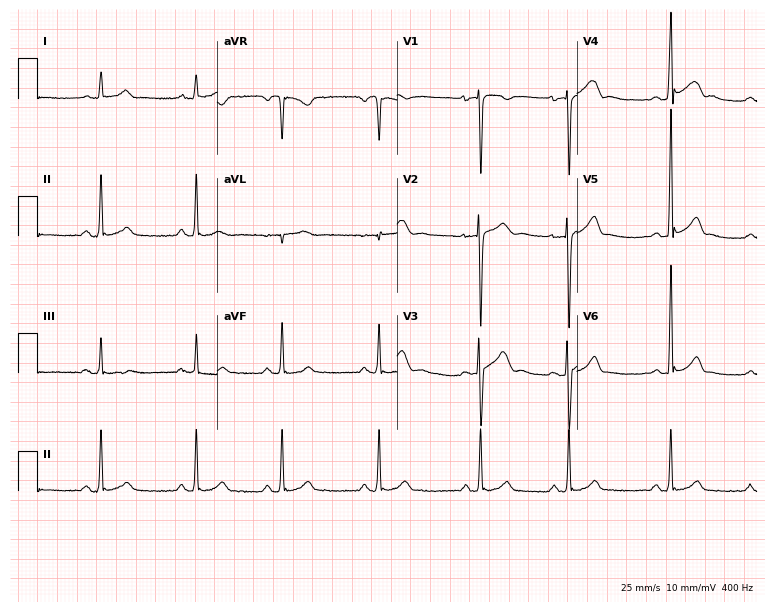
12-lead ECG from a 20-year-old man. Recorded interpretation: within normal limits.